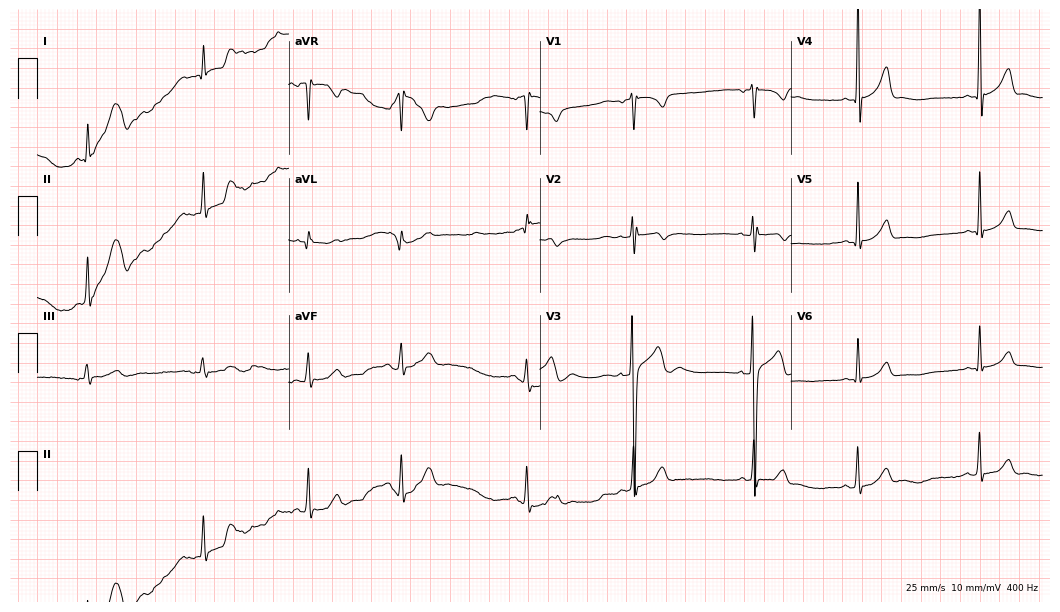
Resting 12-lead electrocardiogram (10.2-second recording at 400 Hz). Patient: a man, 24 years old. Read as a normal ECG.